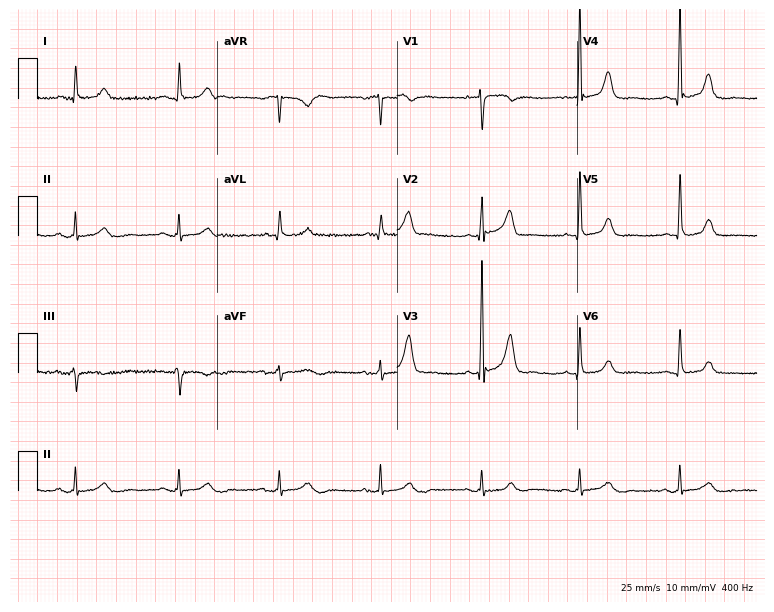
Resting 12-lead electrocardiogram (7.3-second recording at 400 Hz). Patient: a male, 78 years old. Read as a normal ECG.